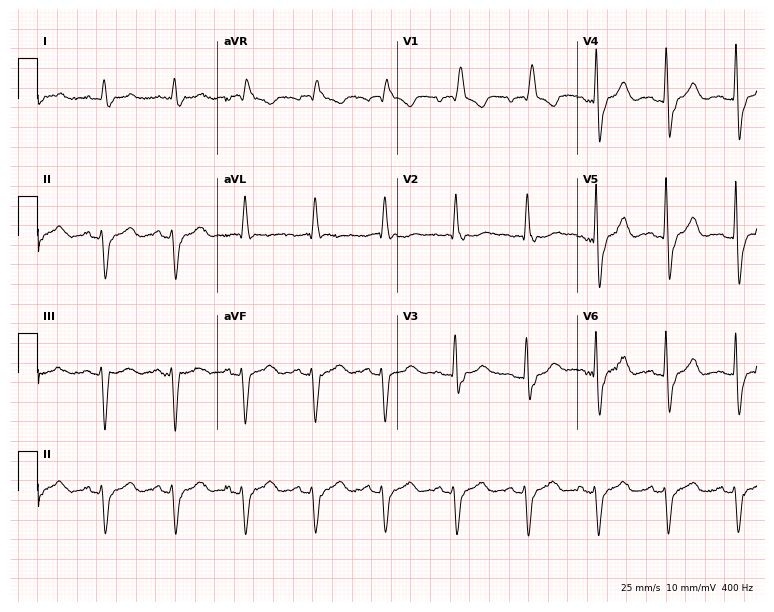
Electrocardiogram, a male patient, 74 years old. Interpretation includes right bundle branch block (RBBB).